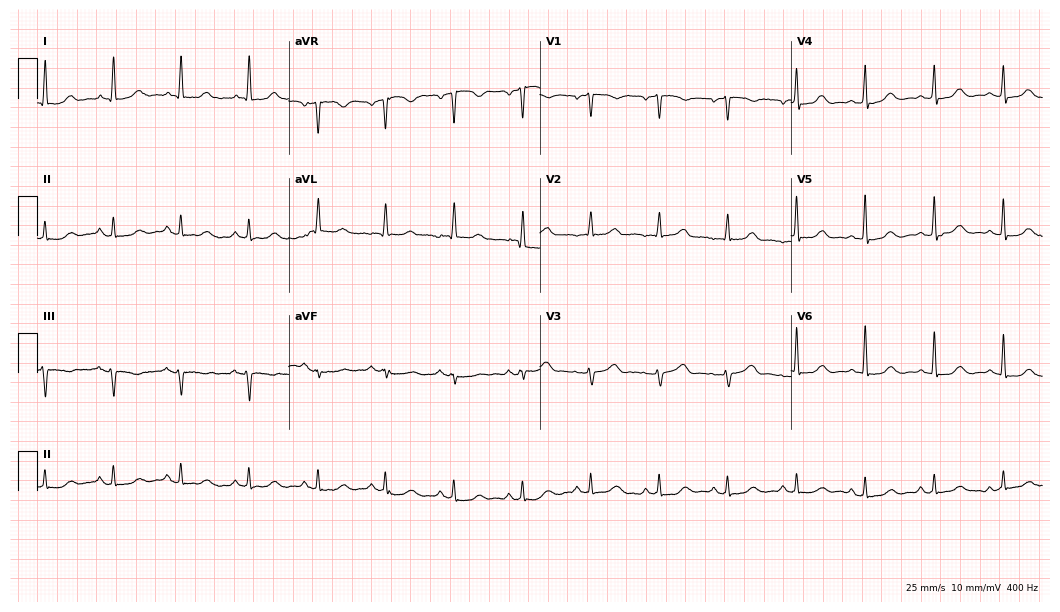
Resting 12-lead electrocardiogram. Patient: an 84-year-old female. Read as a normal ECG.